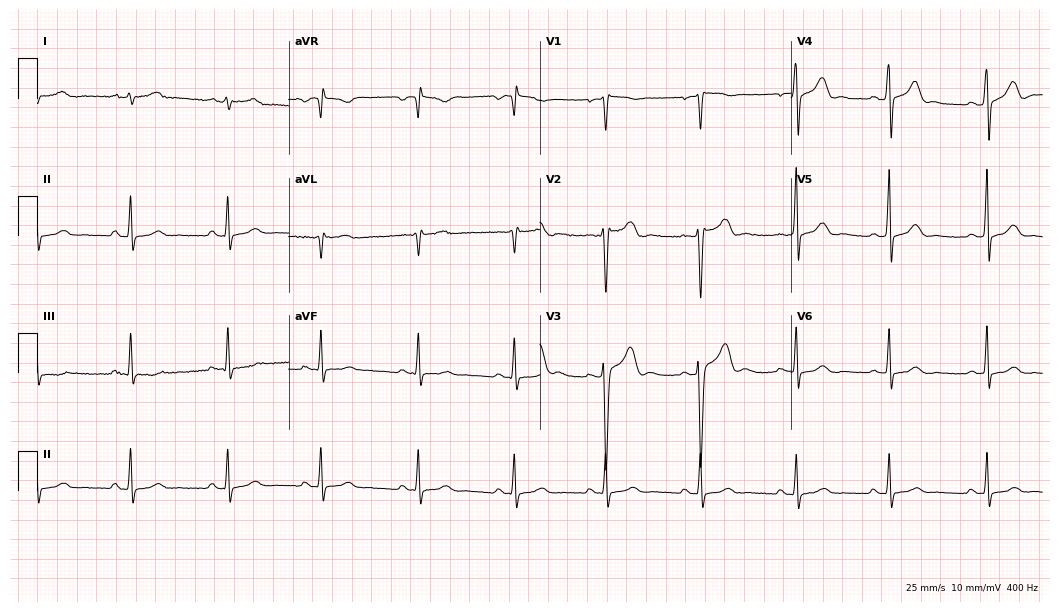
Standard 12-lead ECG recorded from a 35-year-old male. None of these six findings is recorded: first-degree AV block, right bundle branch block, left bundle branch block, sinus bradycardia, atrial fibrillation, sinus tachycardia. Findings outside these six are not listed.